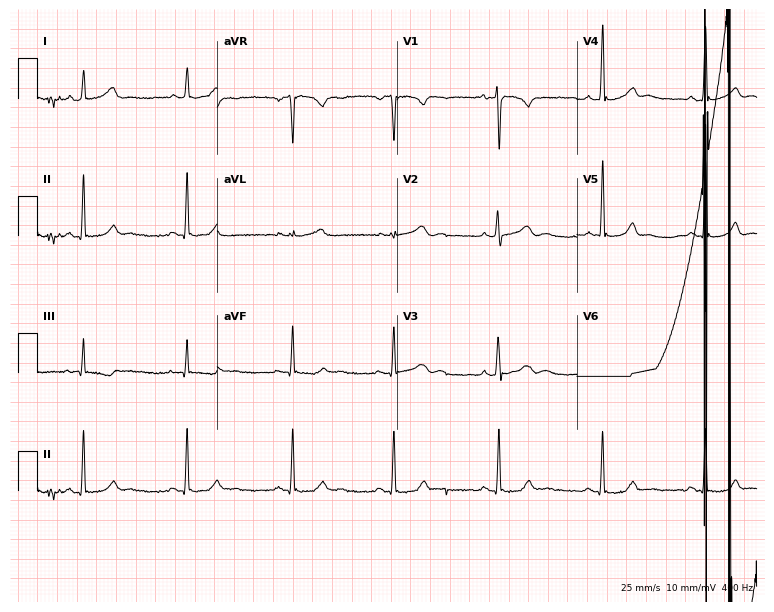
Electrocardiogram, a female patient, 38 years old. Overall reading on record: normal ECG.